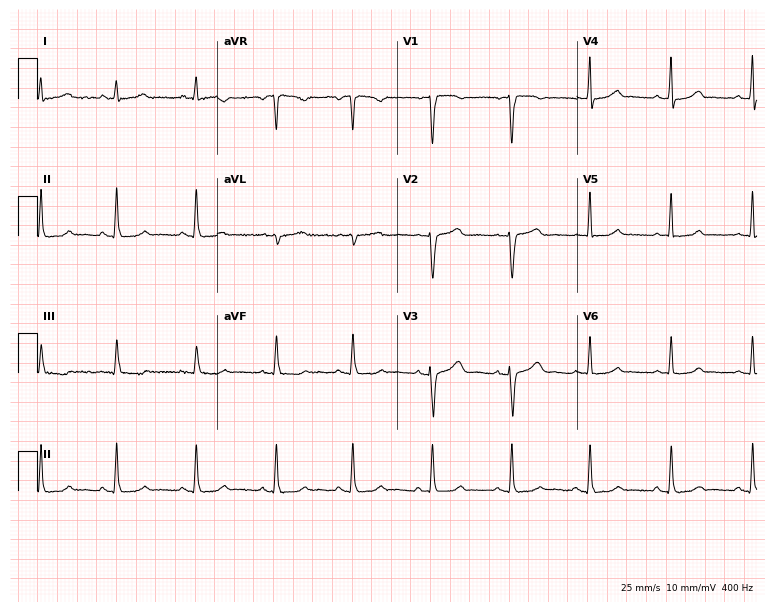
Resting 12-lead electrocardiogram. Patient: a female, 41 years old. None of these six findings is recorded: first-degree AV block, right bundle branch block, left bundle branch block, sinus bradycardia, atrial fibrillation, sinus tachycardia. Other findings, if any, are not listed.